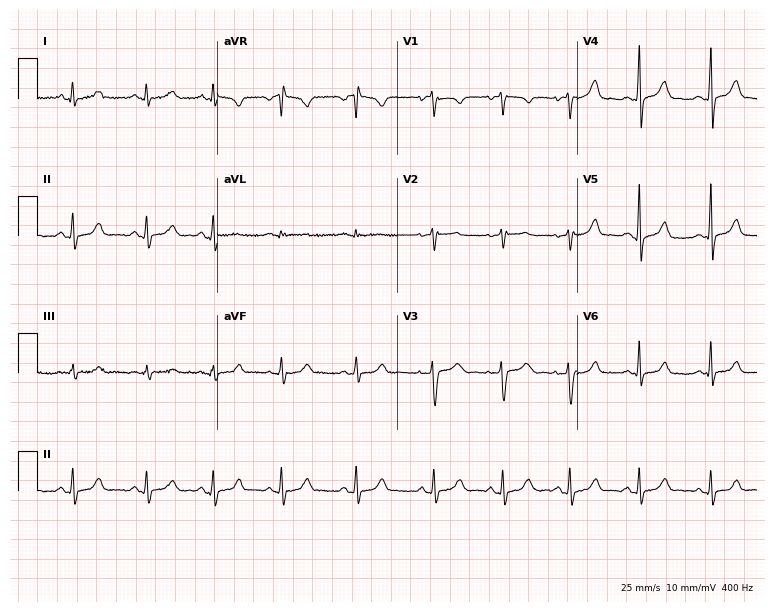
Electrocardiogram, a woman, 20 years old. Overall reading on record: normal ECG.